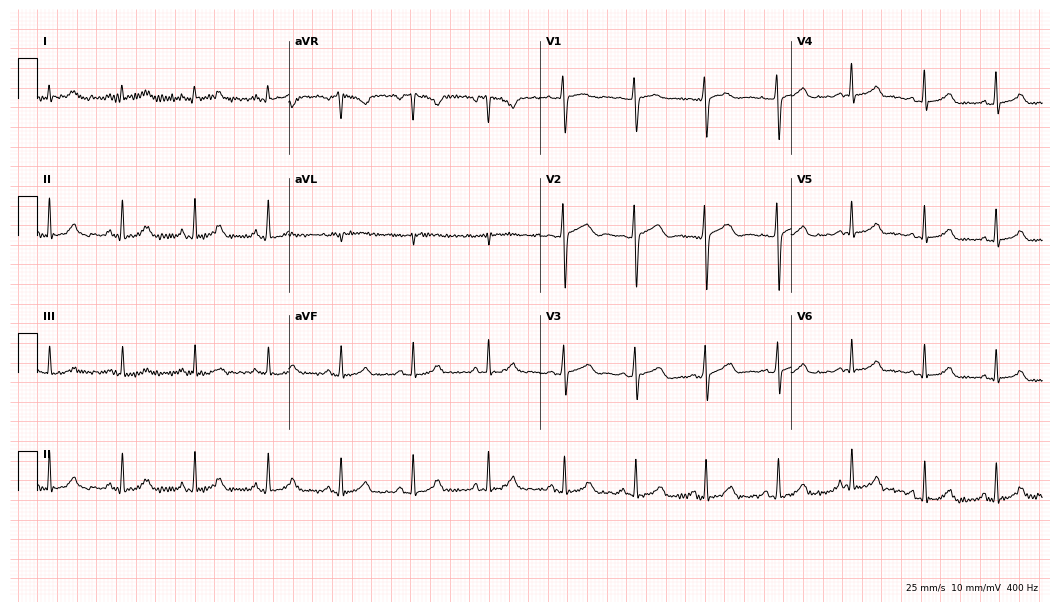
12-lead ECG (10.2-second recording at 400 Hz) from a woman, 28 years old. Labelled as a normal ECG.